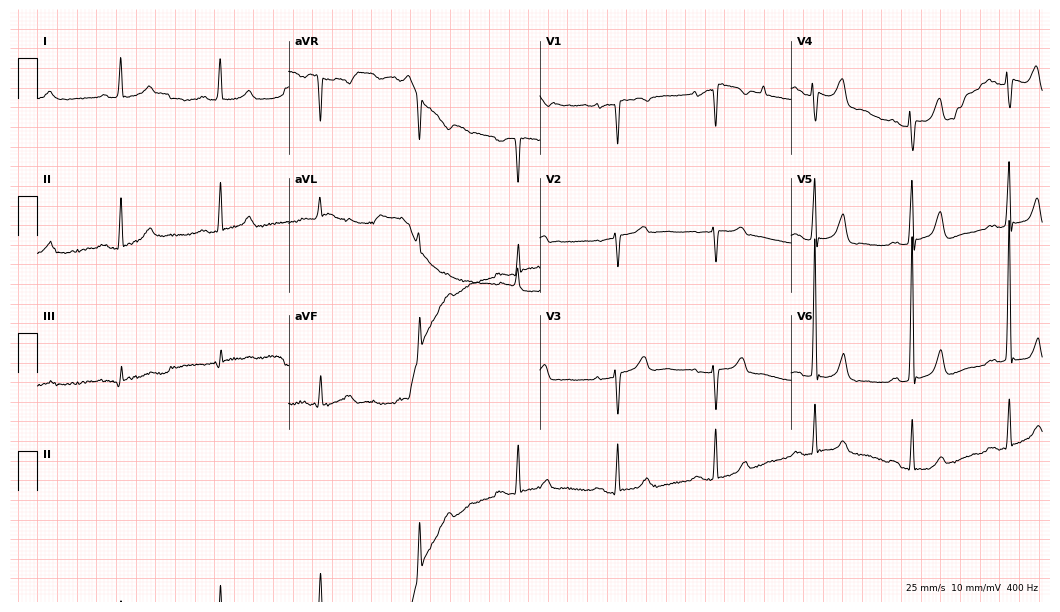
12-lead ECG from a female, 81 years old. Recorded interpretation: within normal limits.